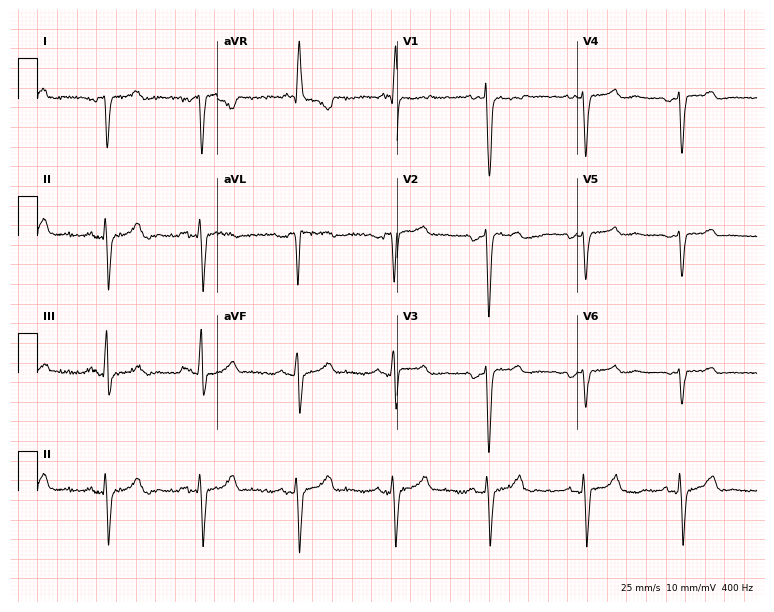
Standard 12-lead ECG recorded from a male patient, 69 years old. None of these six findings is recorded: first-degree AV block, right bundle branch block, left bundle branch block, sinus bradycardia, atrial fibrillation, sinus tachycardia.